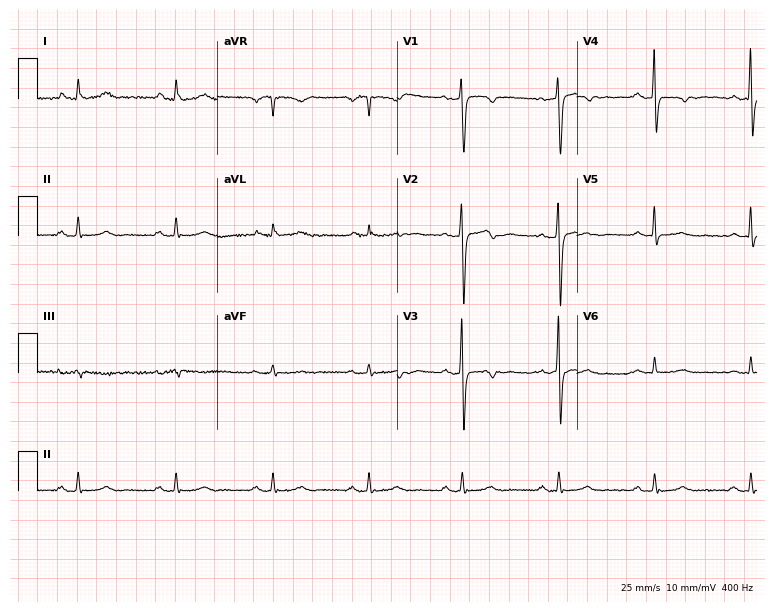
Resting 12-lead electrocardiogram. Patient: a female, 51 years old. None of these six findings is recorded: first-degree AV block, right bundle branch block, left bundle branch block, sinus bradycardia, atrial fibrillation, sinus tachycardia. Other findings, if any, are not listed.